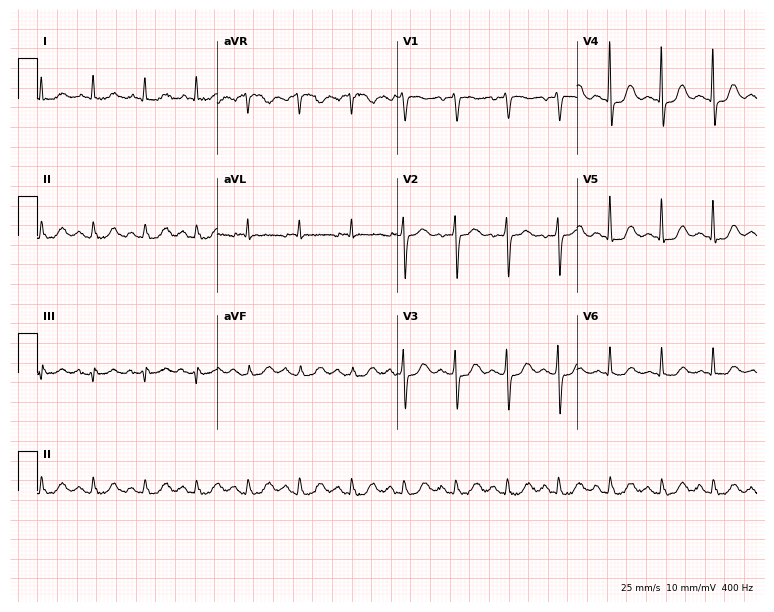
Standard 12-lead ECG recorded from a woman, 74 years old (7.3-second recording at 400 Hz). None of these six findings is recorded: first-degree AV block, right bundle branch block (RBBB), left bundle branch block (LBBB), sinus bradycardia, atrial fibrillation (AF), sinus tachycardia. Other findings, if any, are not listed.